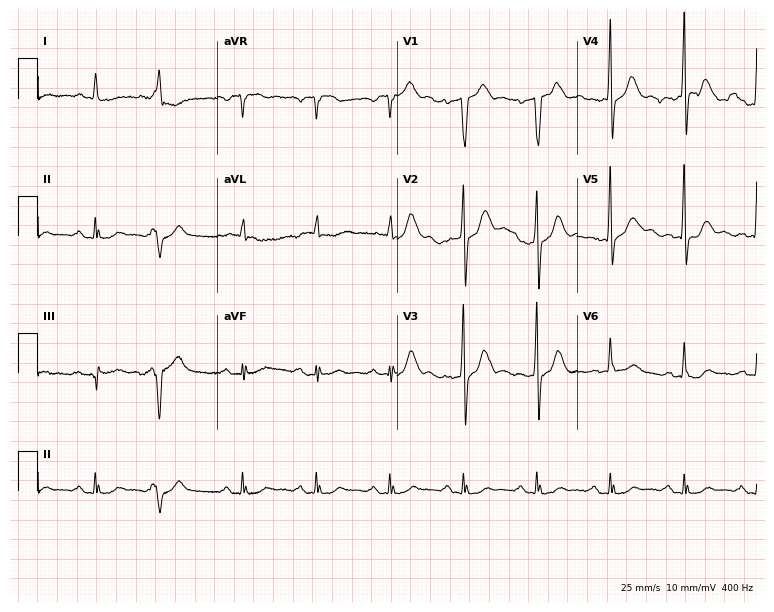
Standard 12-lead ECG recorded from a 78-year-old male (7.3-second recording at 400 Hz). None of these six findings is recorded: first-degree AV block, right bundle branch block, left bundle branch block, sinus bradycardia, atrial fibrillation, sinus tachycardia.